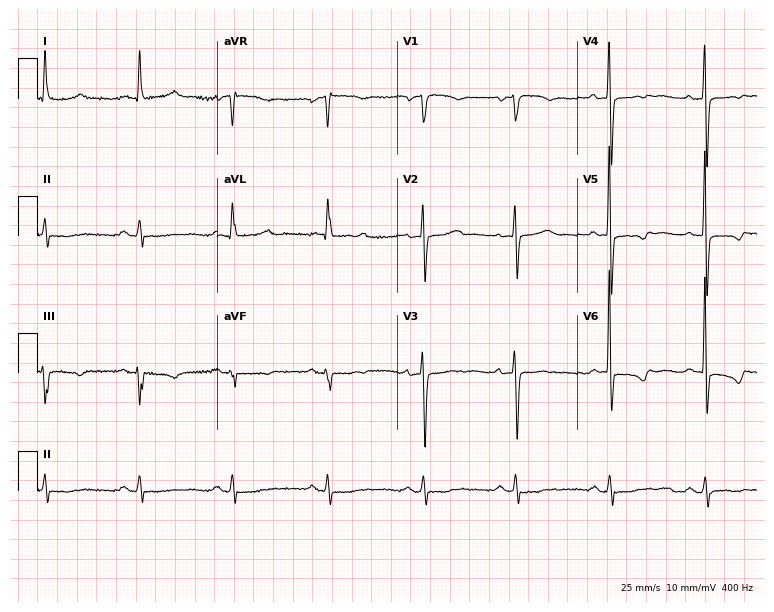
ECG — a 73-year-old female. Screened for six findings — first-degree AV block, right bundle branch block, left bundle branch block, sinus bradycardia, atrial fibrillation, sinus tachycardia — none is recorded. Findings outside these six are not listed.